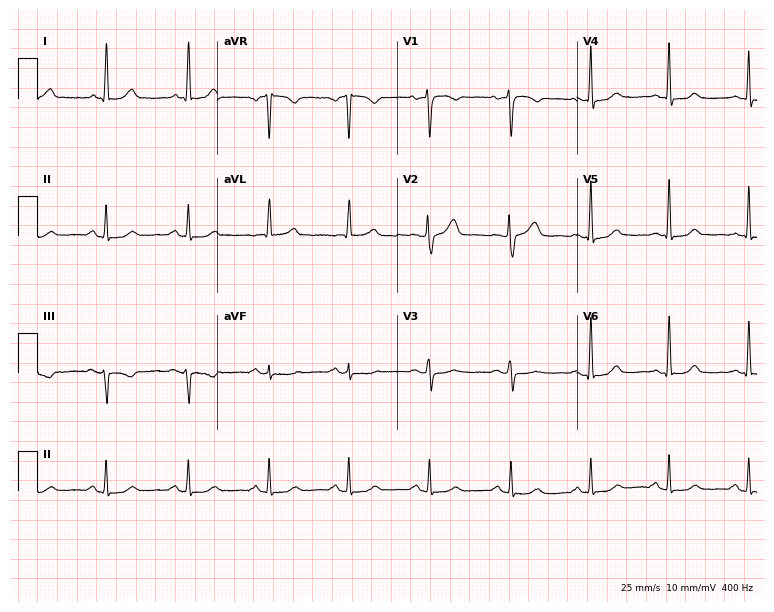
Electrocardiogram, a 50-year-old female patient. Overall reading on record: normal ECG.